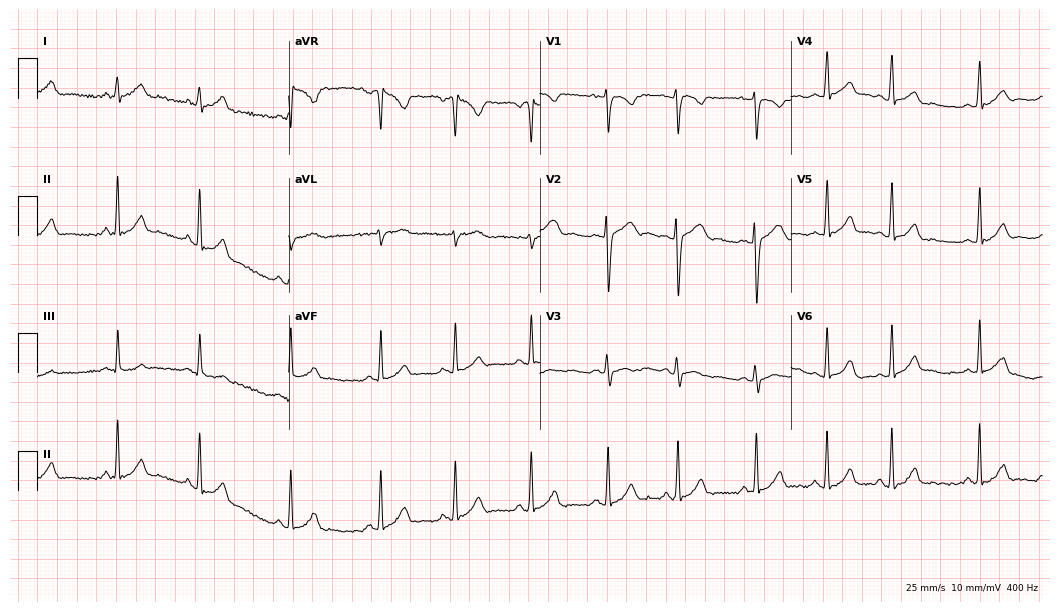
12-lead ECG (10.2-second recording at 400 Hz) from a female, 23 years old. Labelled as a normal ECG.